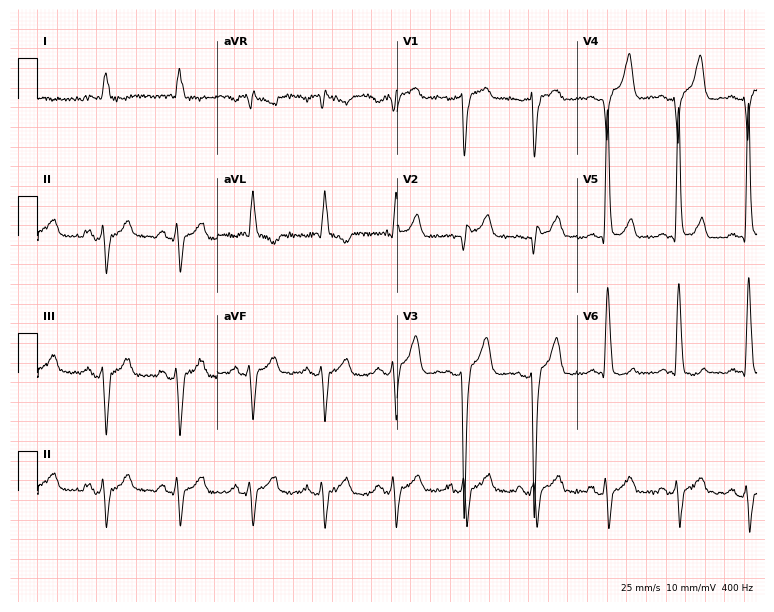
Standard 12-lead ECG recorded from an 86-year-old male. None of these six findings is recorded: first-degree AV block, right bundle branch block (RBBB), left bundle branch block (LBBB), sinus bradycardia, atrial fibrillation (AF), sinus tachycardia. Findings outside these six are not listed.